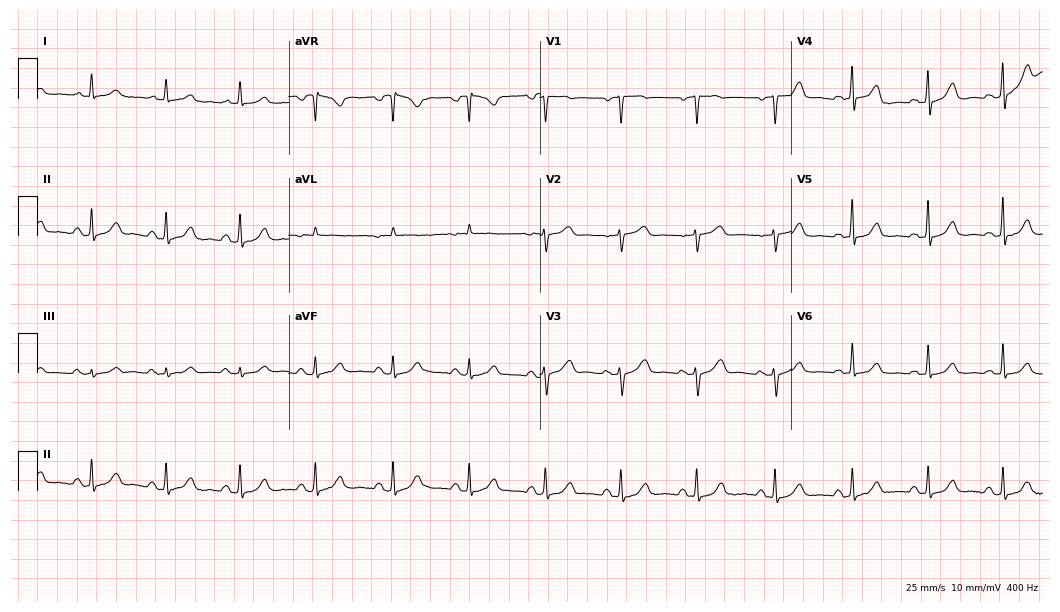
Resting 12-lead electrocardiogram (10.2-second recording at 400 Hz). Patient: a woman, 57 years old. Read as a normal ECG.